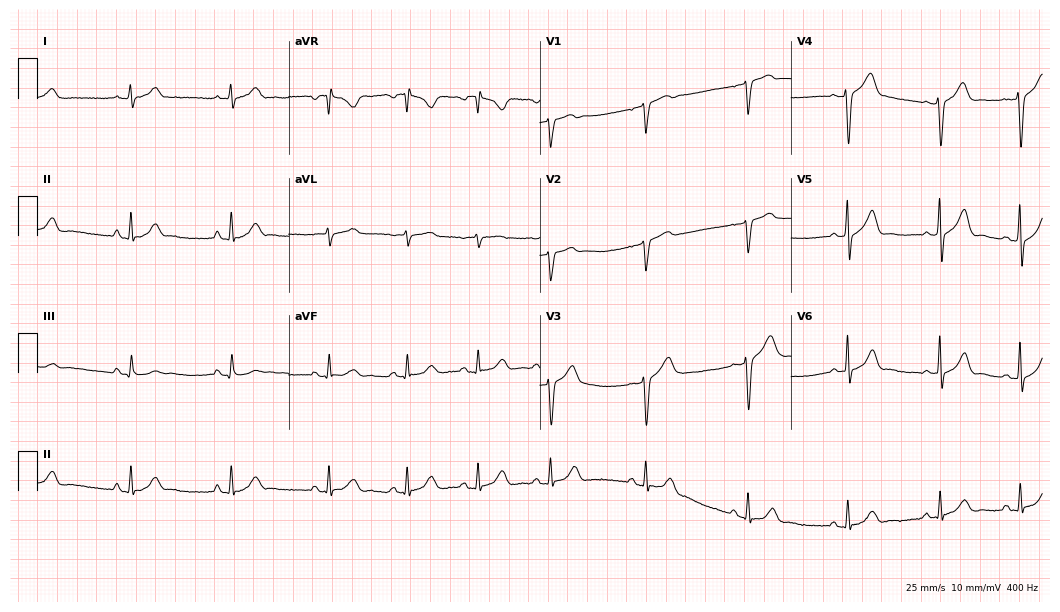
Resting 12-lead electrocardiogram. Patient: a female, 49 years old. Read as a normal ECG.